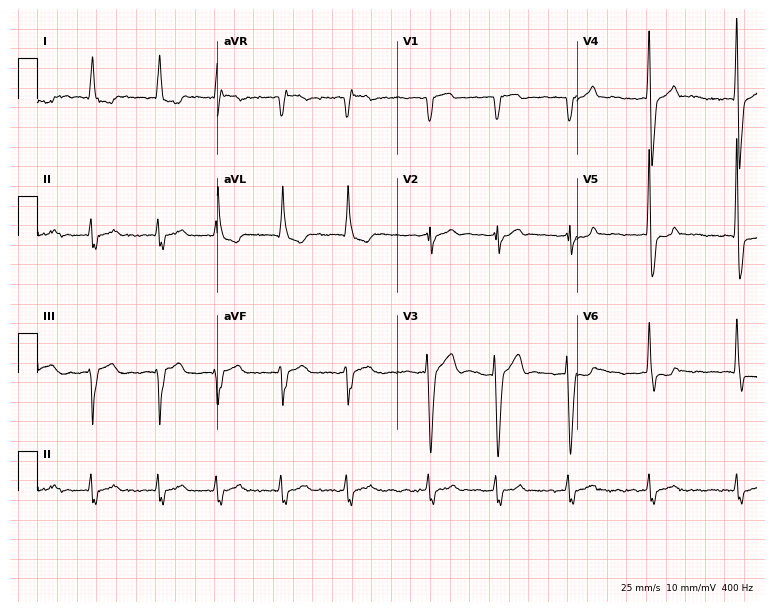
ECG (7.3-second recording at 400 Hz) — an 80-year-old man. Findings include atrial fibrillation (AF).